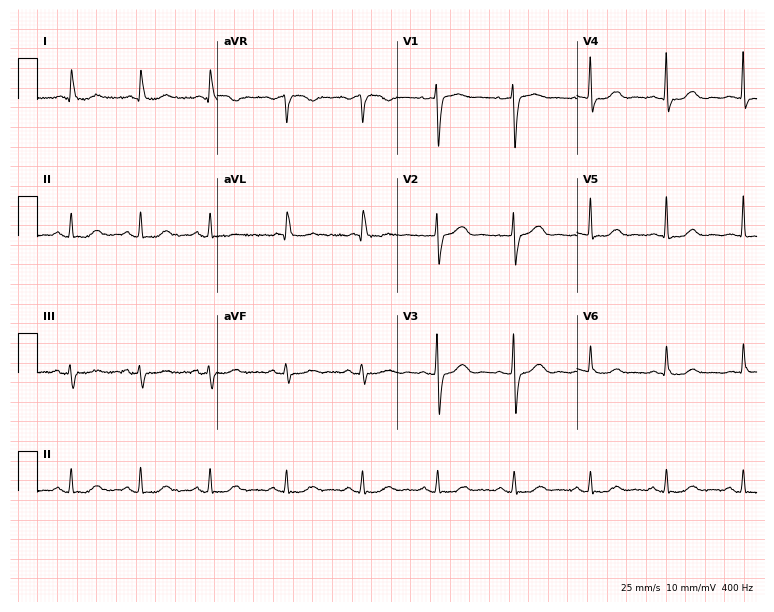
Resting 12-lead electrocardiogram. Patient: a 79-year-old female. Read as a normal ECG.